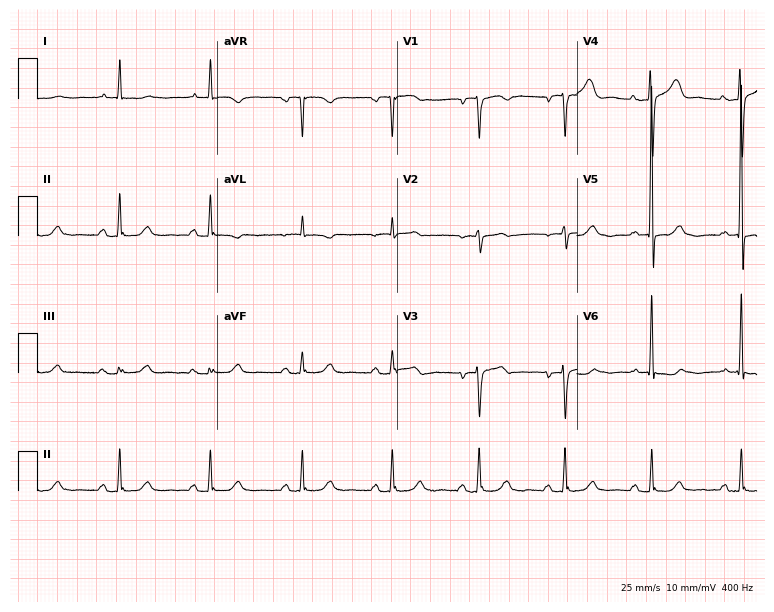
Electrocardiogram, a female, 81 years old. Of the six screened findings (first-degree AV block, right bundle branch block, left bundle branch block, sinus bradycardia, atrial fibrillation, sinus tachycardia), none is recorded.